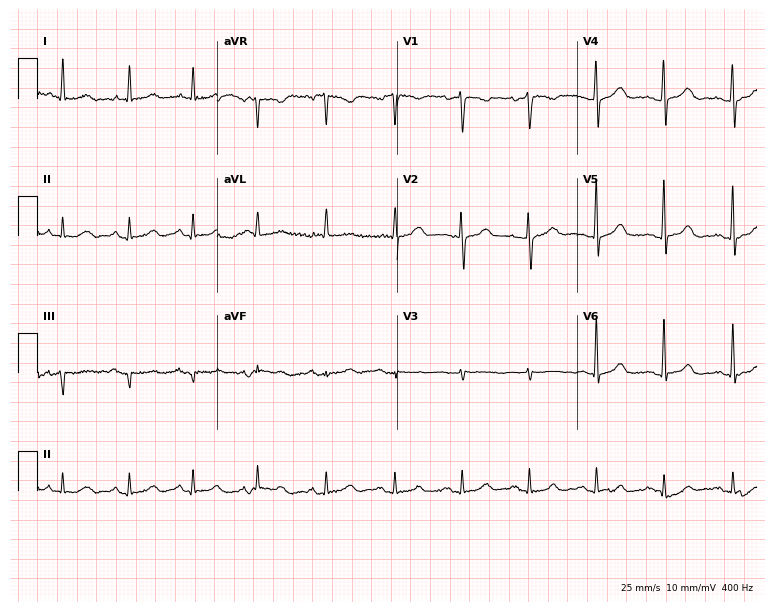
ECG — a female, 65 years old. Labelled as a normal ECG.